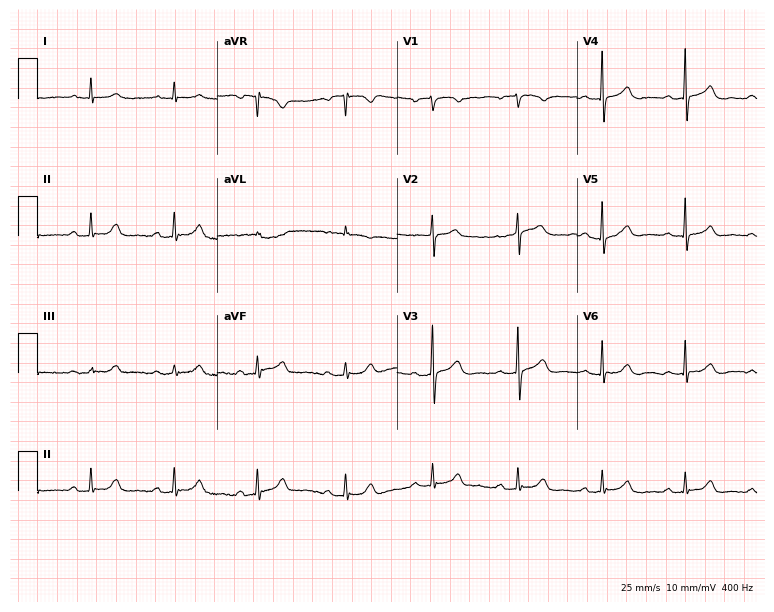
12-lead ECG from a 63-year-old female. Recorded interpretation: within normal limits.